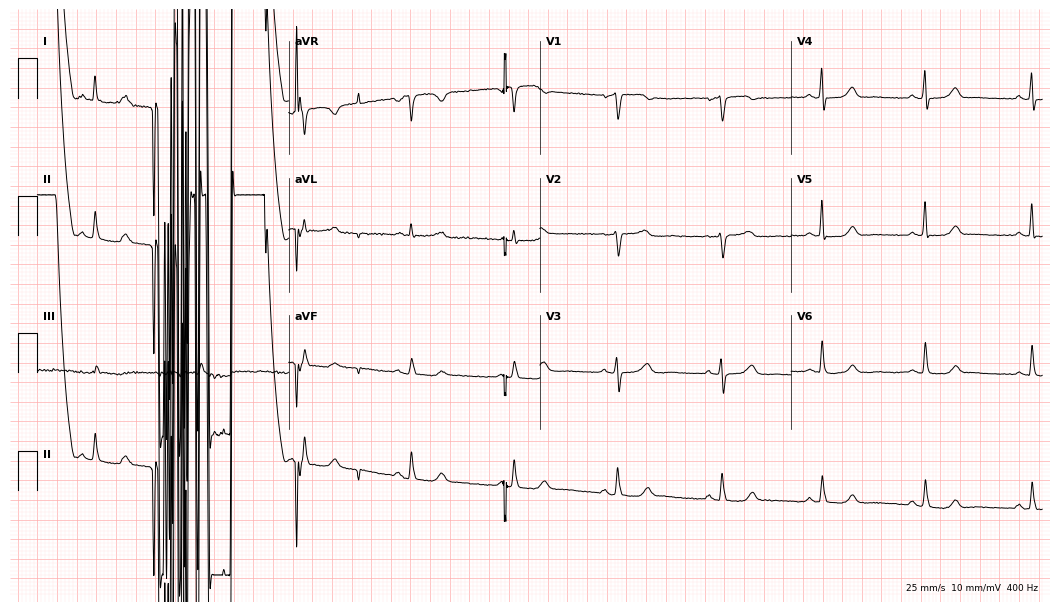
ECG (10.2-second recording at 400 Hz) — a female patient, 68 years old. Screened for six findings — first-degree AV block, right bundle branch block, left bundle branch block, sinus bradycardia, atrial fibrillation, sinus tachycardia — none is recorded. Findings outside these six are not listed.